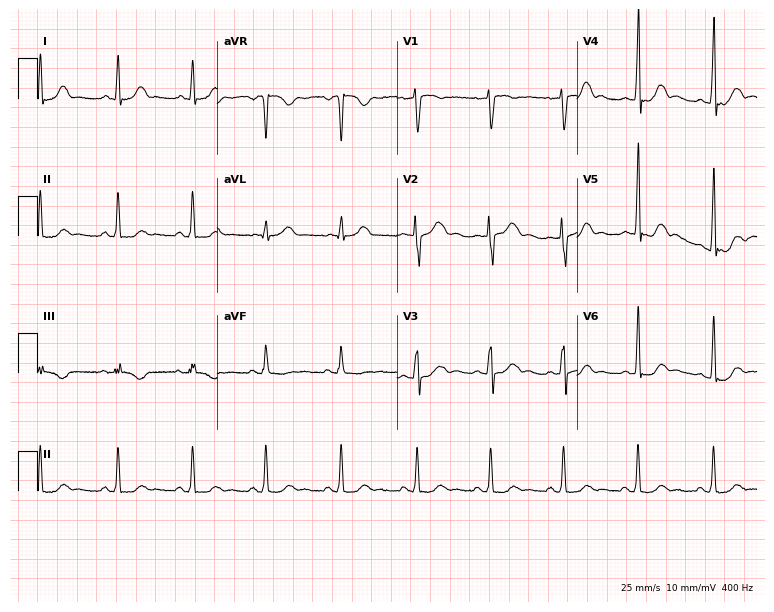
ECG (7.3-second recording at 400 Hz) — a 44-year-old female. Screened for six findings — first-degree AV block, right bundle branch block (RBBB), left bundle branch block (LBBB), sinus bradycardia, atrial fibrillation (AF), sinus tachycardia — none is recorded. Findings outside these six are not listed.